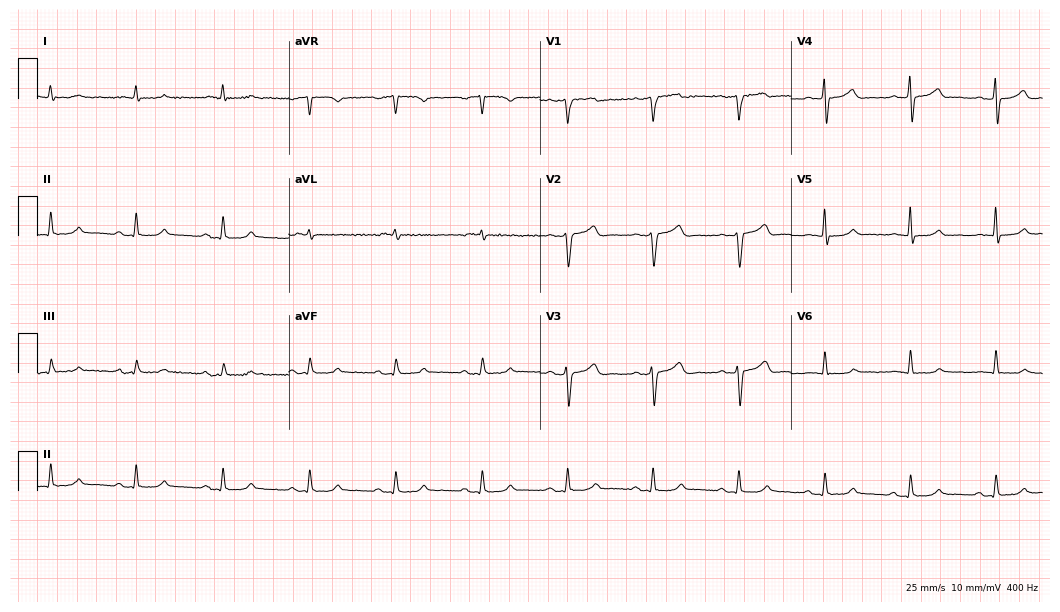
Standard 12-lead ECG recorded from a 67-year-old male patient (10.2-second recording at 400 Hz). None of these six findings is recorded: first-degree AV block, right bundle branch block (RBBB), left bundle branch block (LBBB), sinus bradycardia, atrial fibrillation (AF), sinus tachycardia.